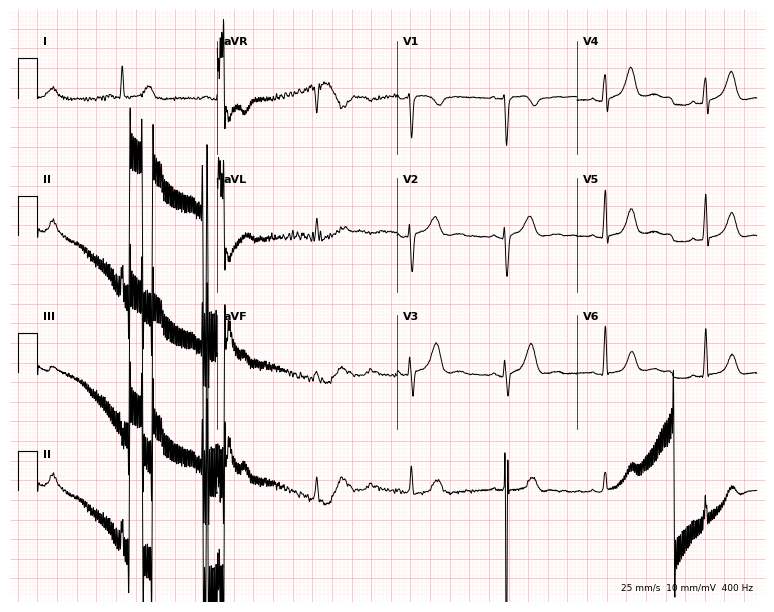
Standard 12-lead ECG recorded from a 51-year-old woman (7.3-second recording at 400 Hz). None of these six findings is recorded: first-degree AV block, right bundle branch block, left bundle branch block, sinus bradycardia, atrial fibrillation, sinus tachycardia. Other findings, if any, are not listed.